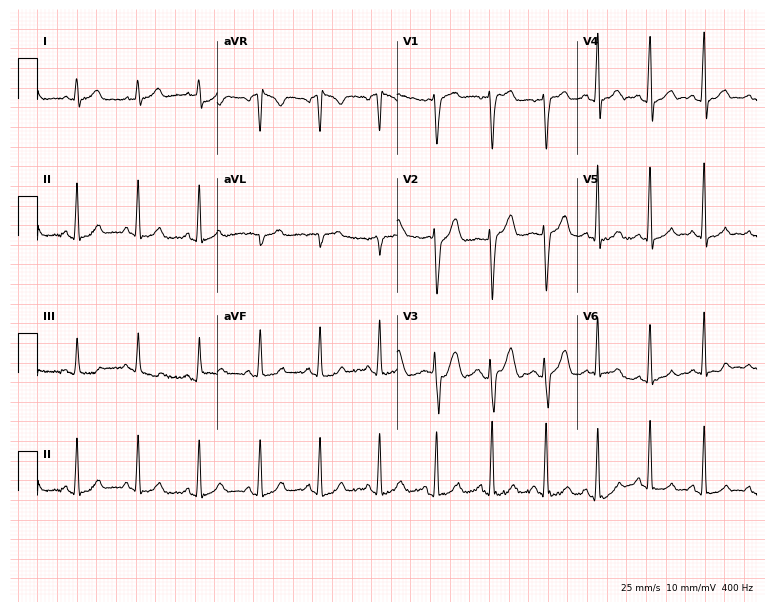
ECG — a female patient, 26 years old. Findings include sinus tachycardia (a sinus rate of 100 beats per minute or more).